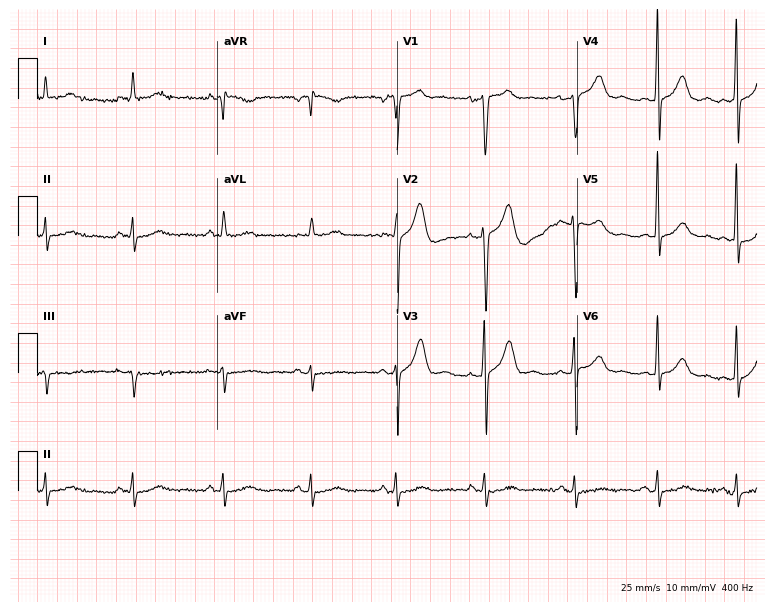
Standard 12-lead ECG recorded from a 67-year-old male patient. Read as a normal ECG.